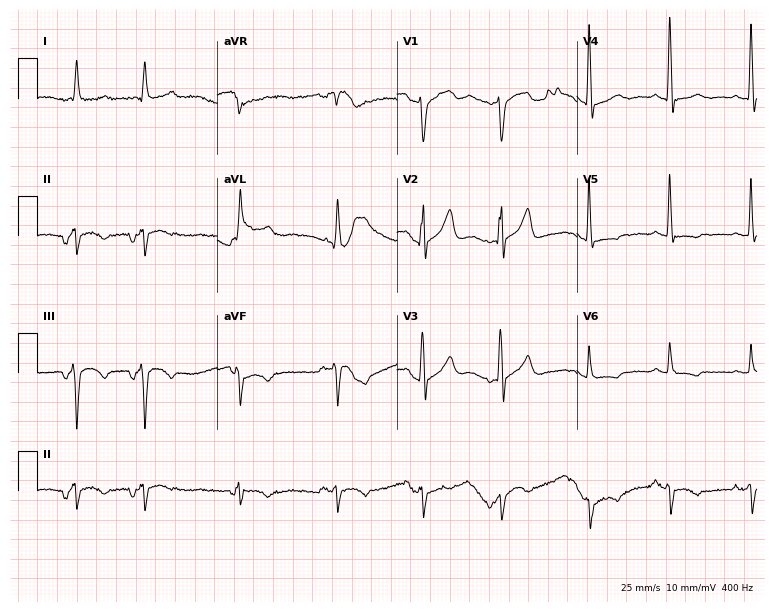
12-lead ECG from a 74-year-old man (7.3-second recording at 400 Hz). No first-degree AV block, right bundle branch block, left bundle branch block, sinus bradycardia, atrial fibrillation or sinus tachycardia recorded for this tracing. Other findings, if any, are not listed.